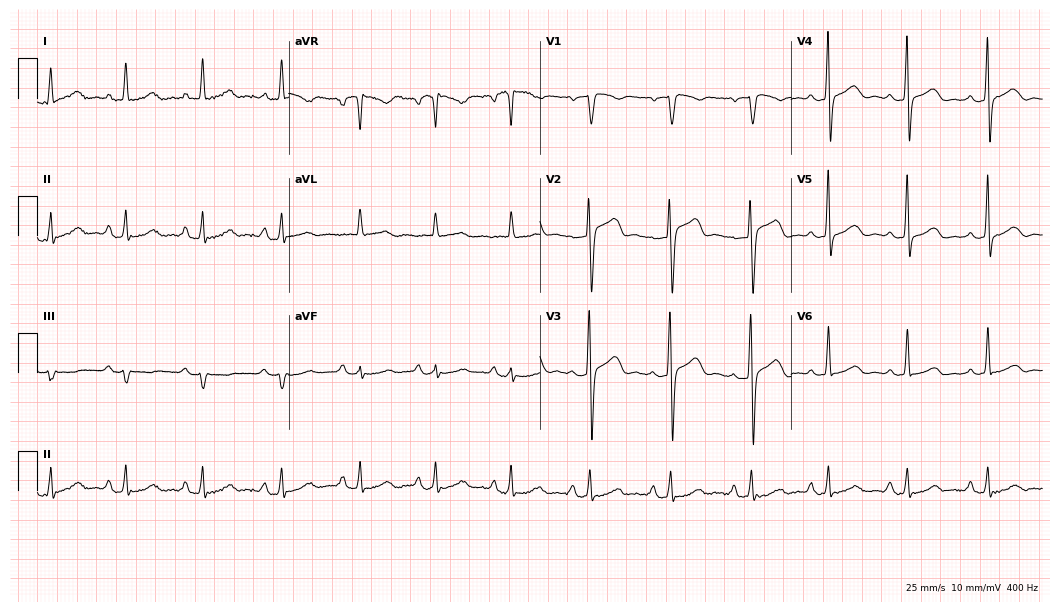
ECG — a male patient, 59 years old. Labelled as a normal ECG.